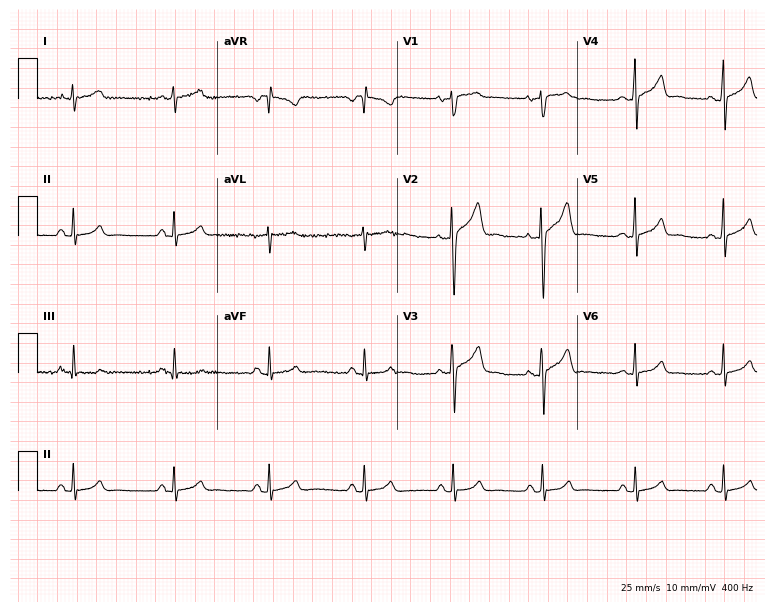
12-lead ECG from a 33-year-old male patient. Recorded interpretation: within normal limits.